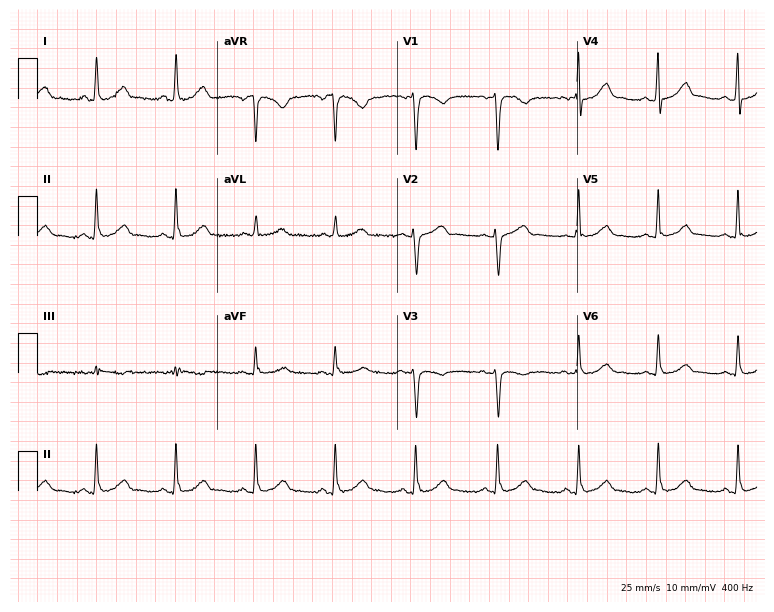
ECG — a 44-year-old female patient. Labelled as a normal ECG.